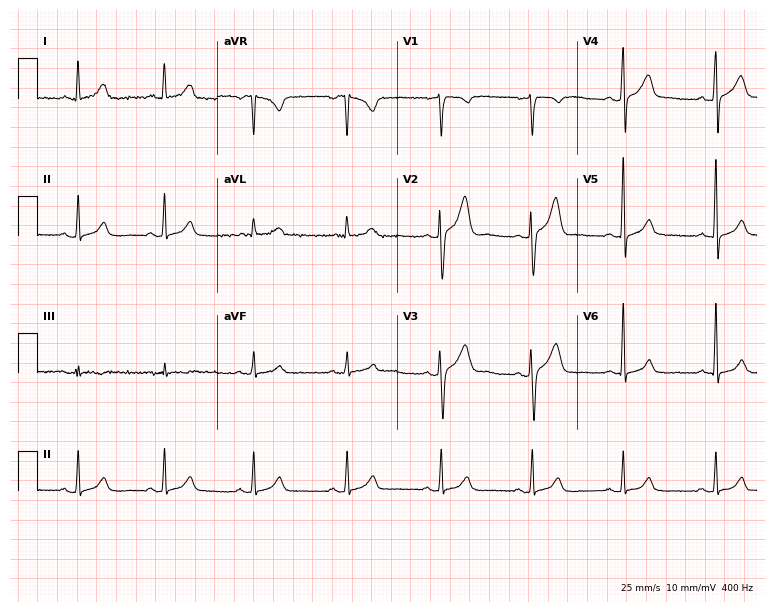
Standard 12-lead ECG recorded from a 43-year-old man. Read as a normal ECG.